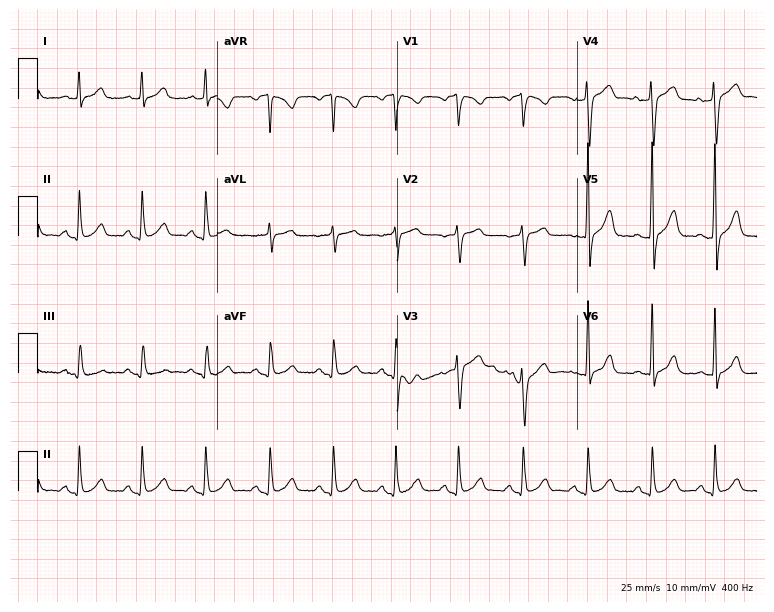
12-lead ECG from a 60-year-old woman (7.3-second recording at 400 Hz). Recorded interpretation: within normal limits.